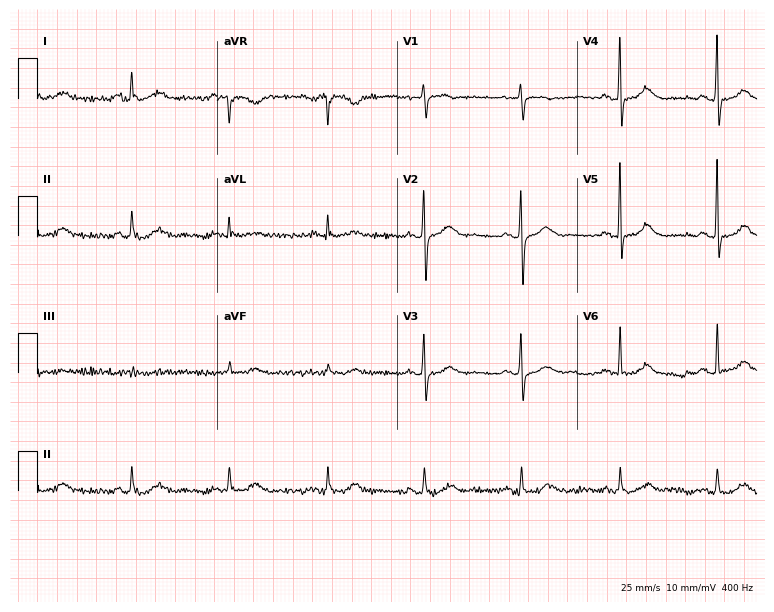
ECG — a 66-year-old female patient. Labelled as a normal ECG.